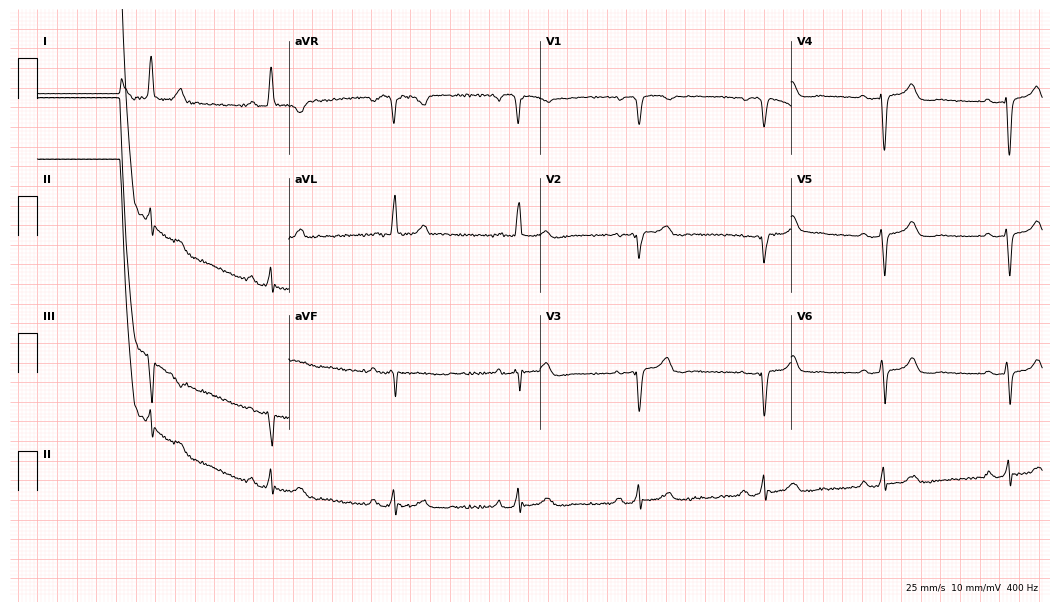
Standard 12-lead ECG recorded from a woman, 78 years old. None of these six findings is recorded: first-degree AV block, right bundle branch block (RBBB), left bundle branch block (LBBB), sinus bradycardia, atrial fibrillation (AF), sinus tachycardia. Other findings, if any, are not listed.